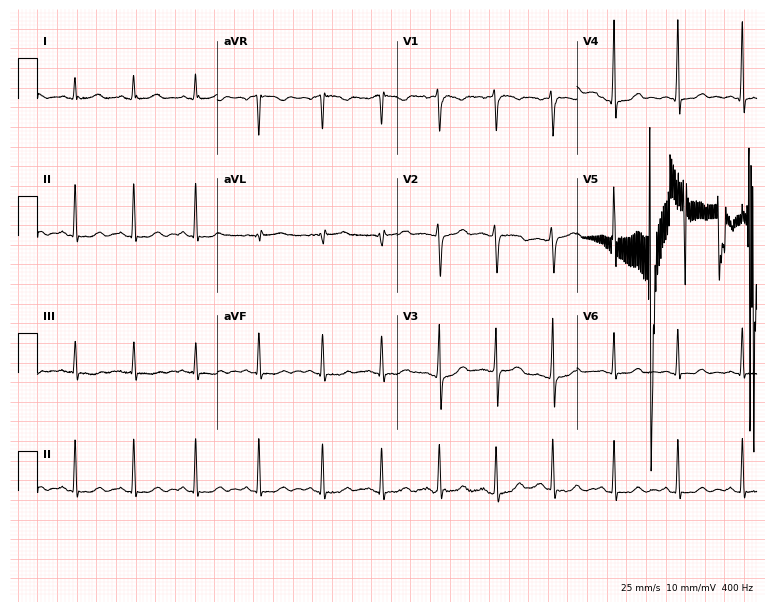
Resting 12-lead electrocardiogram. Patient: a 24-year-old female. Read as a normal ECG.